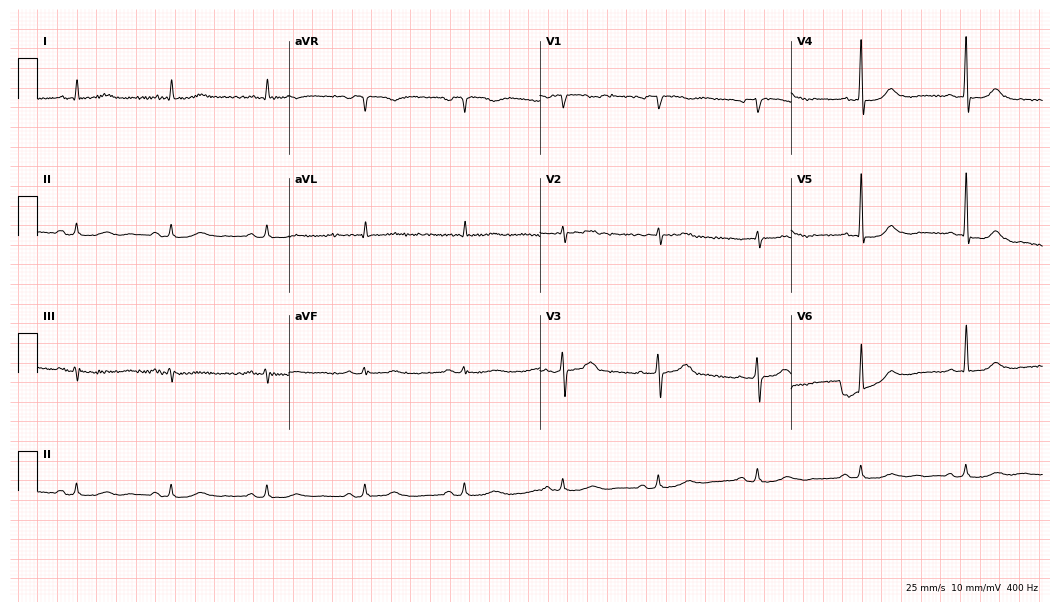
Standard 12-lead ECG recorded from a 72-year-old man. None of these six findings is recorded: first-degree AV block, right bundle branch block, left bundle branch block, sinus bradycardia, atrial fibrillation, sinus tachycardia.